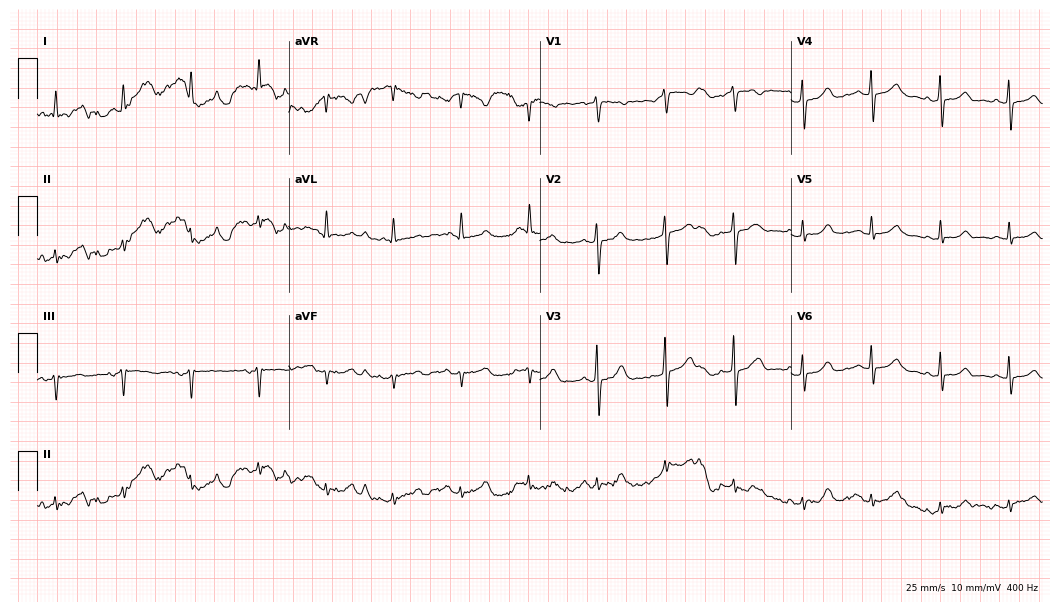
Resting 12-lead electrocardiogram (10.2-second recording at 400 Hz). Patient: a female, 78 years old. None of these six findings is recorded: first-degree AV block, right bundle branch block, left bundle branch block, sinus bradycardia, atrial fibrillation, sinus tachycardia.